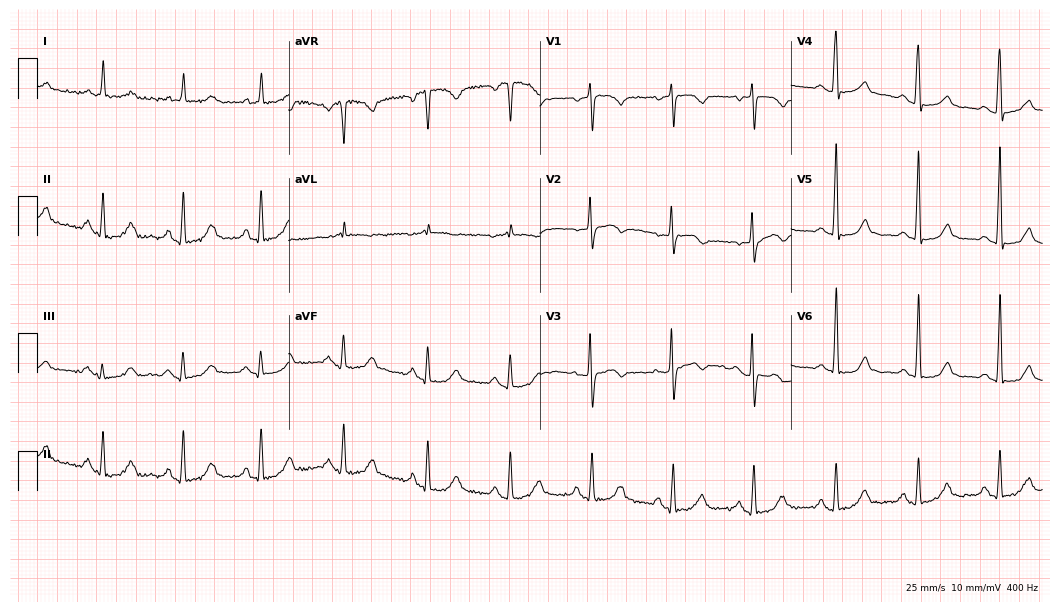
12-lead ECG from a 61-year-old woman. No first-degree AV block, right bundle branch block (RBBB), left bundle branch block (LBBB), sinus bradycardia, atrial fibrillation (AF) or sinus tachycardia recorded for this tracing. Findings outside these six are not listed.